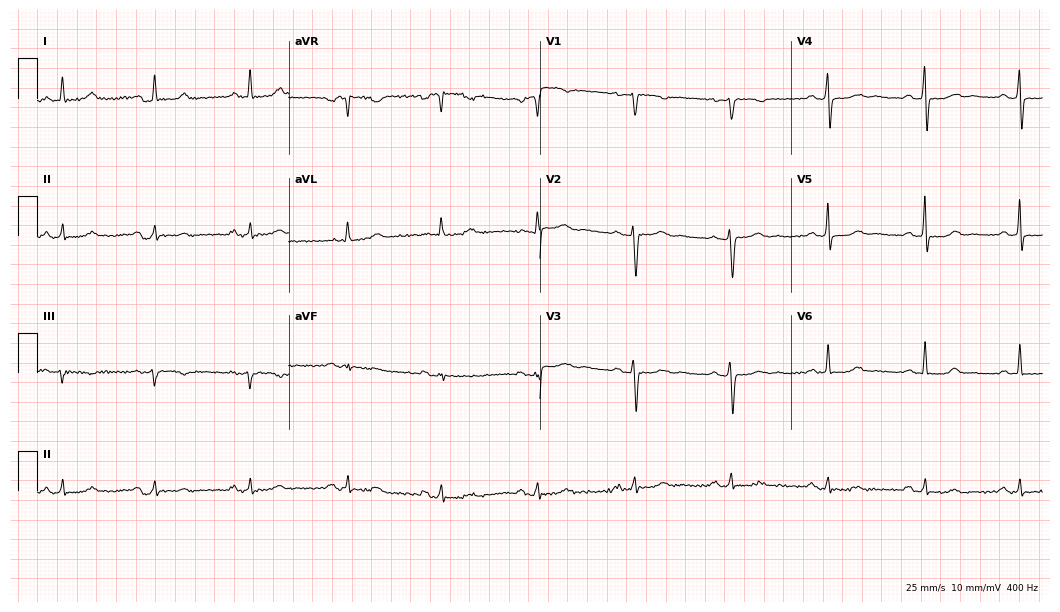
Standard 12-lead ECG recorded from a 56-year-old female patient (10.2-second recording at 400 Hz). None of these six findings is recorded: first-degree AV block, right bundle branch block, left bundle branch block, sinus bradycardia, atrial fibrillation, sinus tachycardia. Other findings, if any, are not listed.